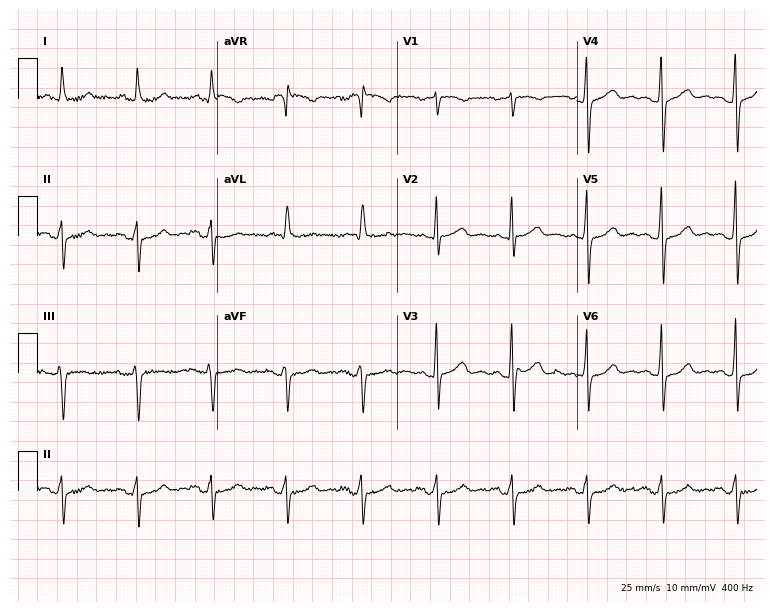
Standard 12-lead ECG recorded from a woman, 65 years old (7.3-second recording at 400 Hz). None of these six findings is recorded: first-degree AV block, right bundle branch block, left bundle branch block, sinus bradycardia, atrial fibrillation, sinus tachycardia. Findings outside these six are not listed.